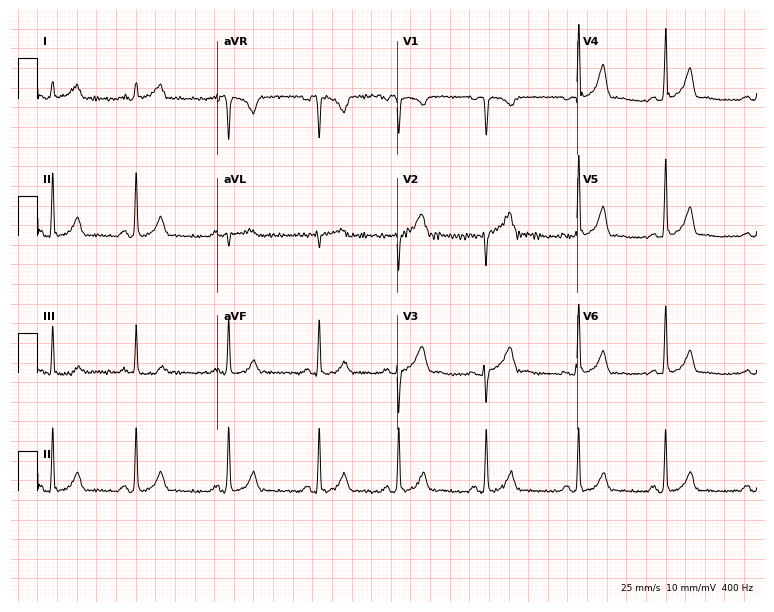
Electrocardiogram (7.3-second recording at 400 Hz), a woman, 31 years old. Of the six screened findings (first-degree AV block, right bundle branch block, left bundle branch block, sinus bradycardia, atrial fibrillation, sinus tachycardia), none is recorded. Only these six findings were labelled.